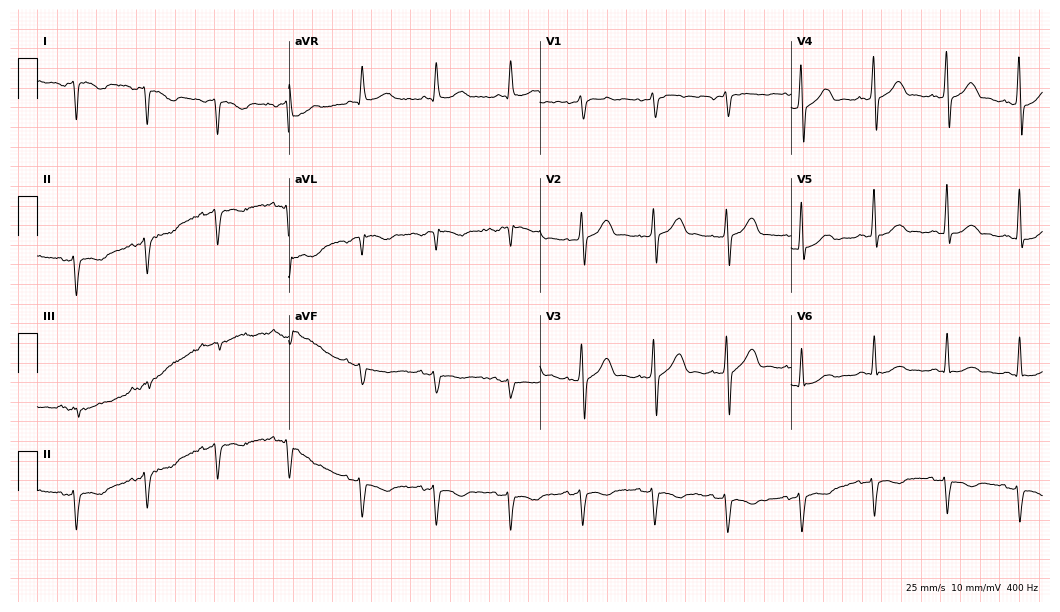
Resting 12-lead electrocardiogram. Patient: a man, 65 years old. None of these six findings is recorded: first-degree AV block, right bundle branch block, left bundle branch block, sinus bradycardia, atrial fibrillation, sinus tachycardia.